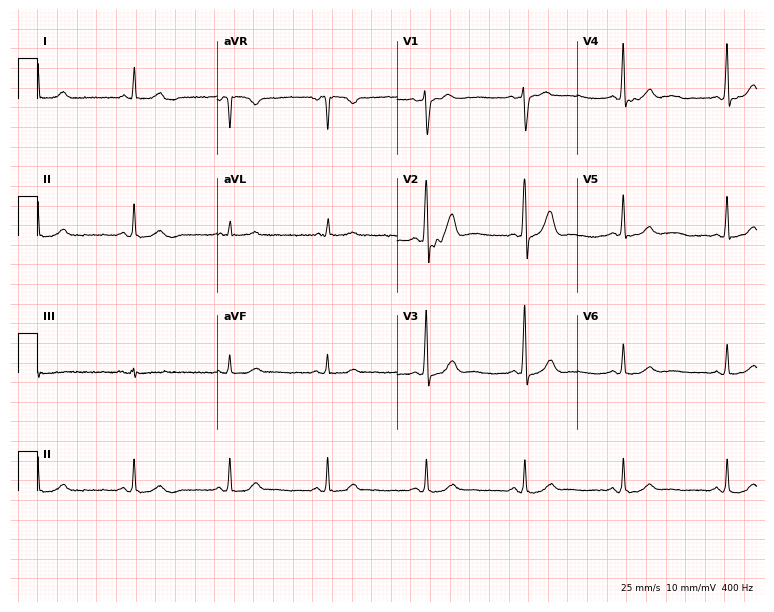
12-lead ECG from a 55-year-old male patient. Labelled as a normal ECG.